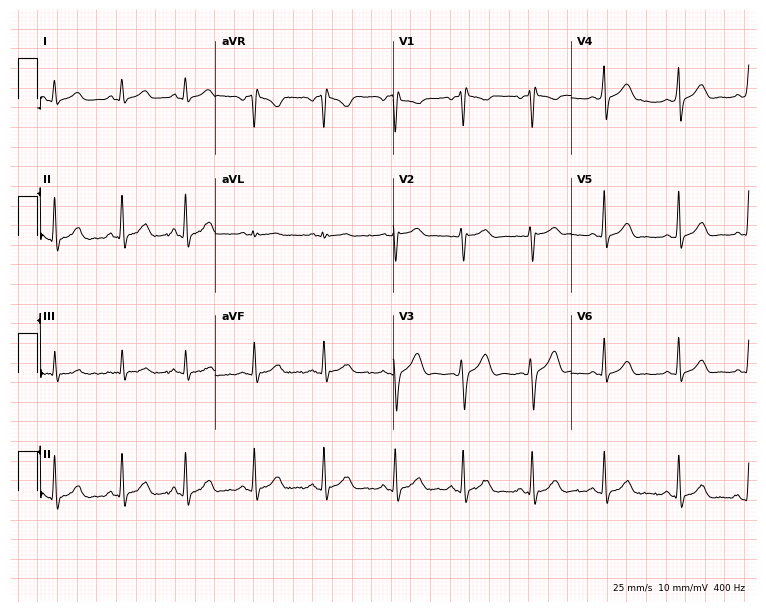
Resting 12-lead electrocardiogram. Patient: a 36-year-old female. None of these six findings is recorded: first-degree AV block, right bundle branch block, left bundle branch block, sinus bradycardia, atrial fibrillation, sinus tachycardia. Other findings, if any, are not listed.